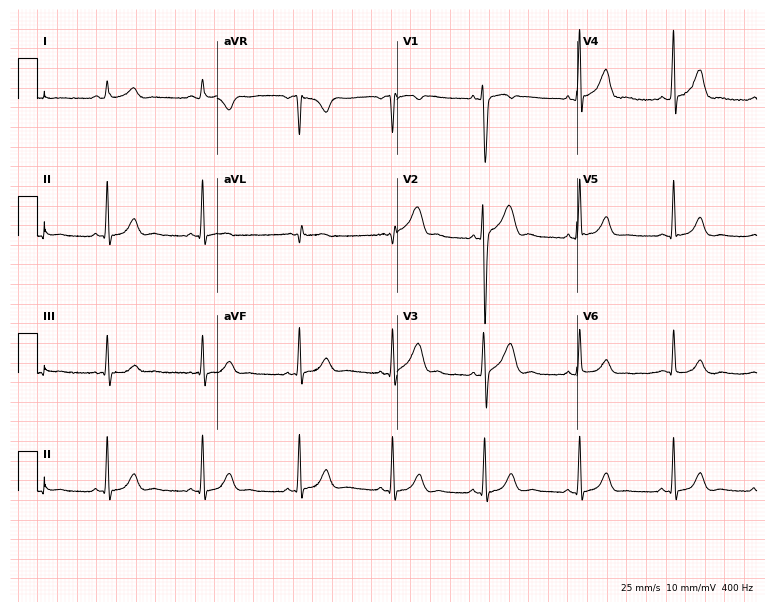
Standard 12-lead ECG recorded from a 26-year-old man. None of these six findings is recorded: first-degree AV block, right bundle branch block (RBBB), left bundle branch block (LBBB), sinus bradycardia, atrial fibrillation (AF), sinus tachycardia. Findings outside these six are not listed.